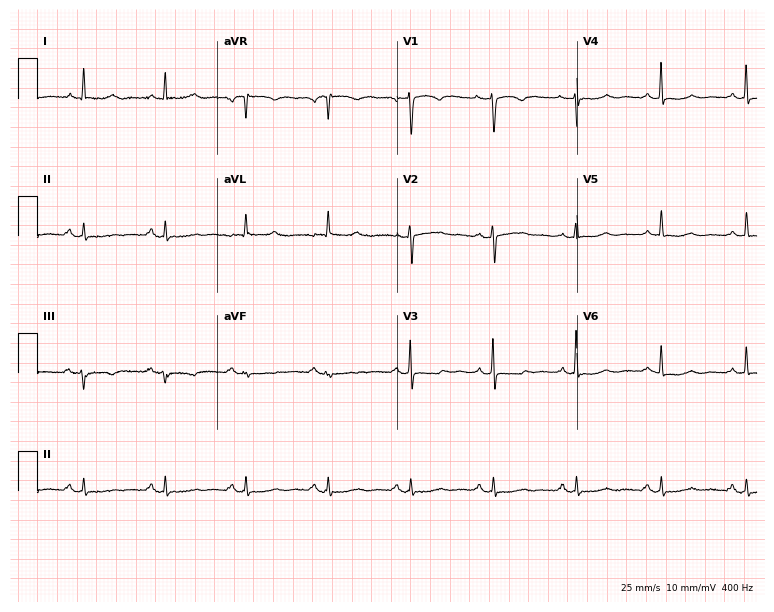
12-lead ECG from a female patient, 72 years old. Screened for six findings — first-degree AV block, right bundle branch block, left bundle branch block, sinus bradycardia, atrial fibrillation, sinus tachycardia — none is recorded.